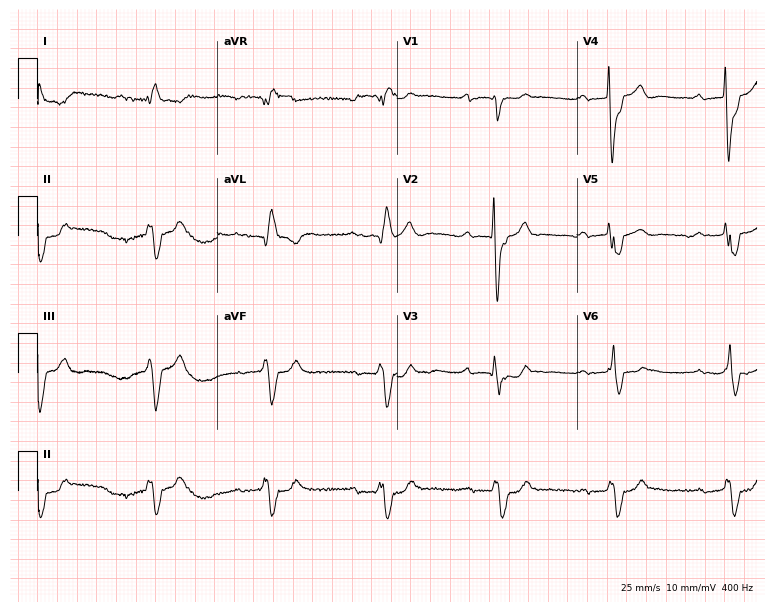
Electrocardiogram (7.3-second recording at 400 Hz), a 43-year-old male. Interpretation includes first-degree AV block, right bundle branch block (RBBB).